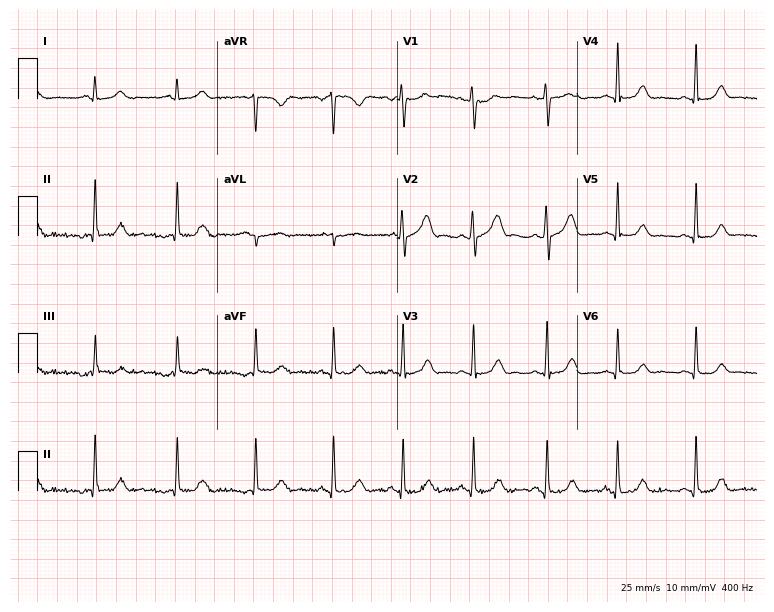
12-lead ECG from a female, 18 years old (7.3-second recording at 400 Hz). Recorded interpretation: within normal limits.